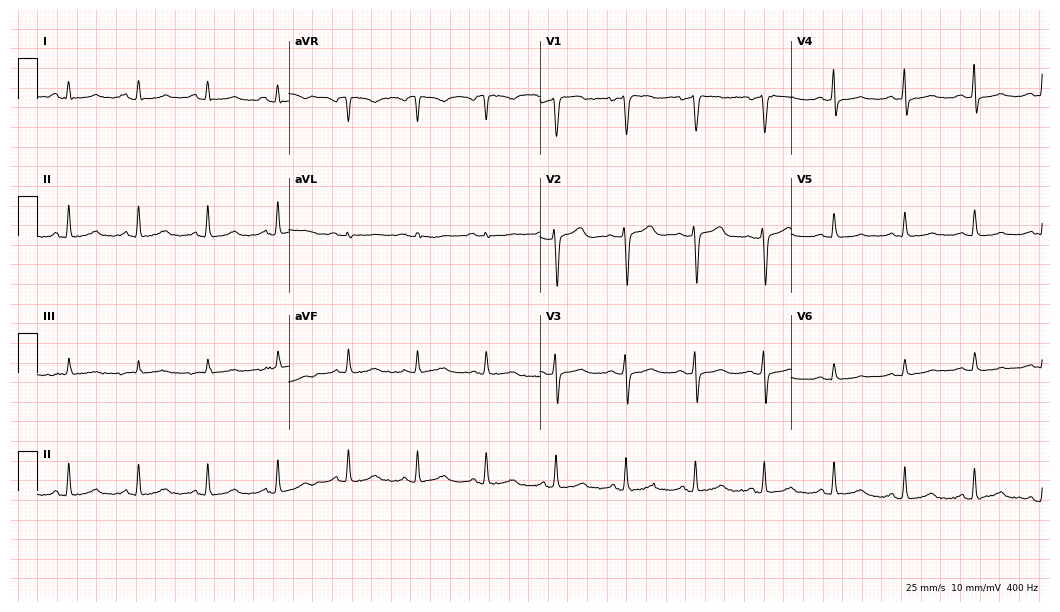
ECG — a man, 84 years old. Screened for six findings — first-degree AV block, right bundle branch block (RBBB), left bundle branch block (LBBB), sinus bradycardia, atrial fibrillation (AF), sinus tachycardia — none is recorded. Findings outside these six are not listed.